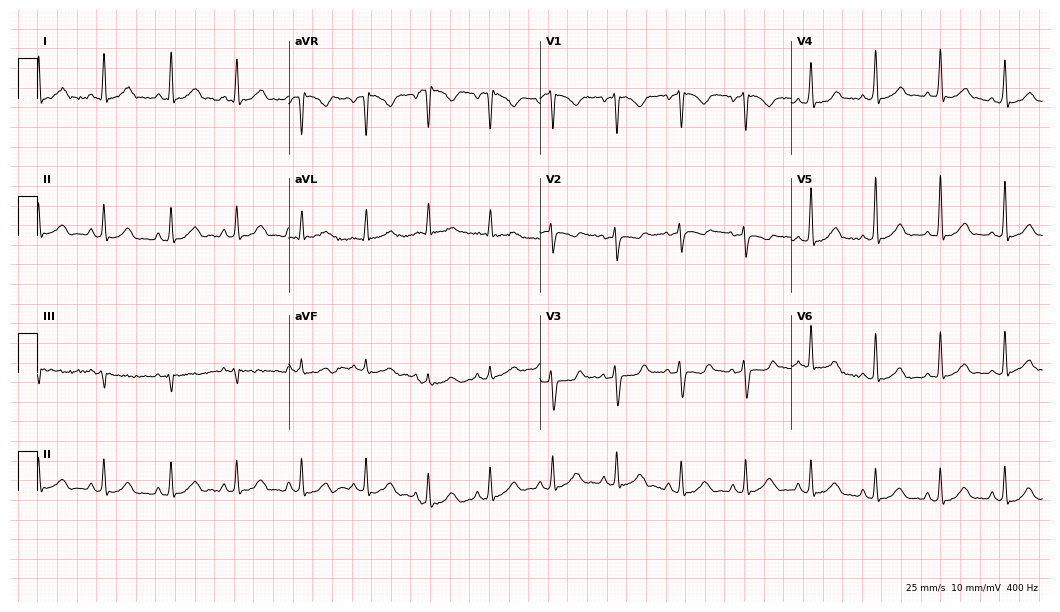
12-lead ECG from a female, 33 years old. Labelled as a normal ECG.